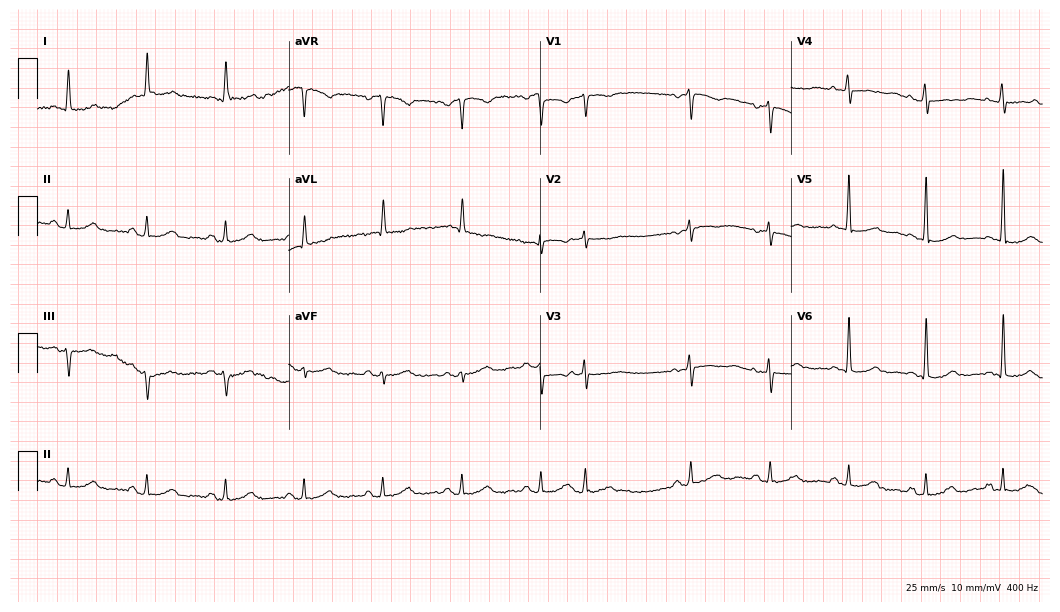
ECG (10.2-second recording at 400 Hz) — a woman, 64 years old. Labelled as a normal ECG.